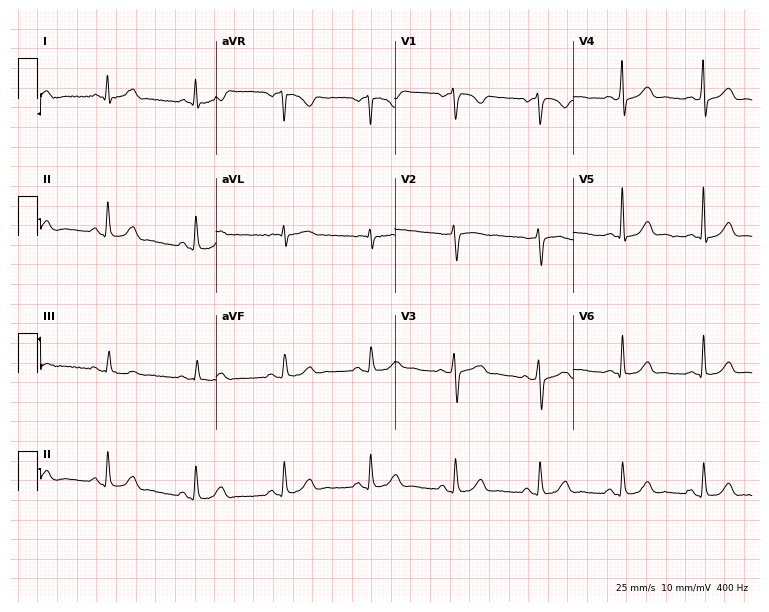
Resting 12-lead electrocardiogram (7.3-second recording at 400 Hz). Patient: a 49-year-old male. None of these six findings is recorded: first-degree AV block, right bundle branch block, left bundle branch block, sinus bradycardia, atrial fibrillation, sinus tachycardia.